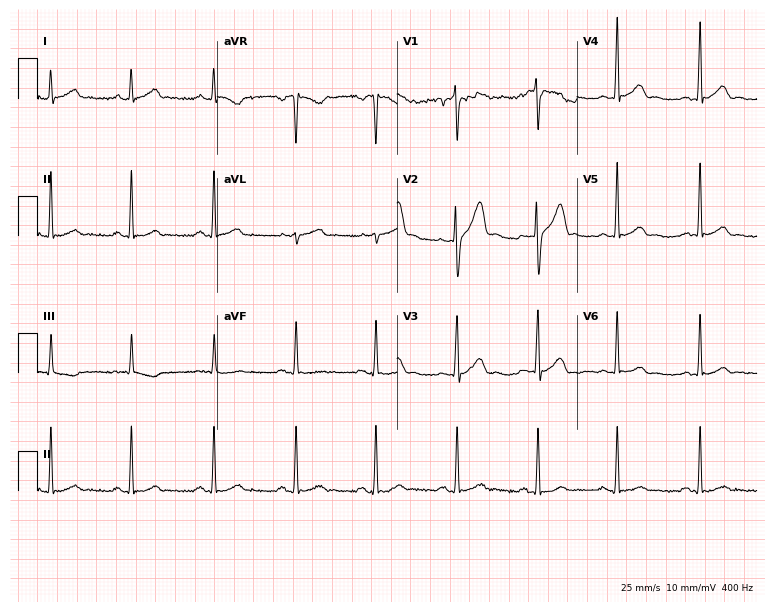
12-lead ECG from a male patient, 42 years old (7.3-second recording at 400 Hz). No first-degree AV block, right bundle branch block, left bundle branch block, sinus bradycardia, atrial fibrillation or sinus tachycardia recorded for this tracing. Other findings, if any, are not listed.